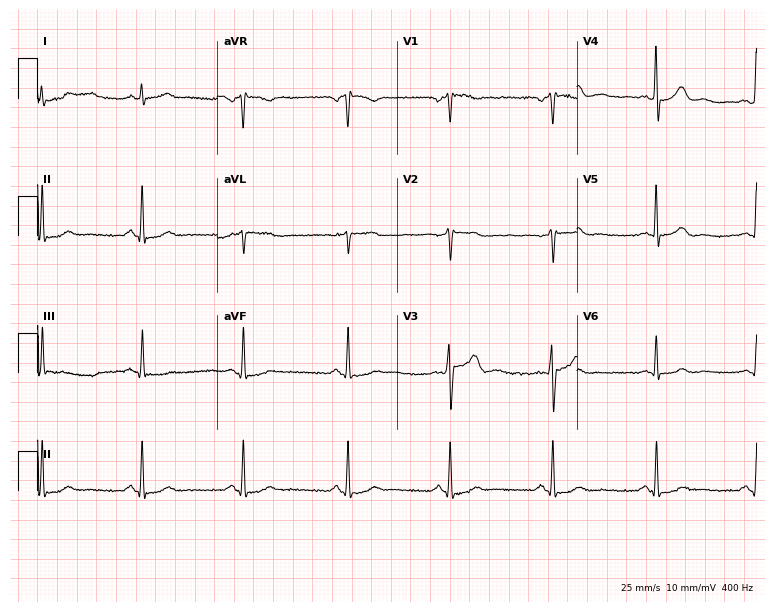
12-lead ECG (7.3-second recording at 400 Hz) from a male, 60 years old. Labelled as a normal ECG.